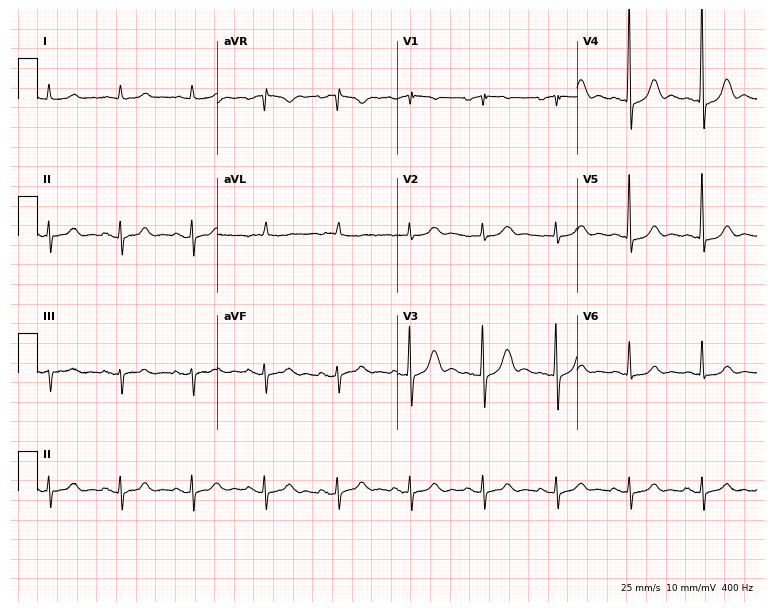
Standard 12-lead ECG recorded from an 81-year-old male. None of these six findings is recorded: first-degree AV block, right bundle branch block, left bundle branch block, sinus bradycardia, atrial fibrillation, sinus tachycardia. Other findings, if any, are not listed.